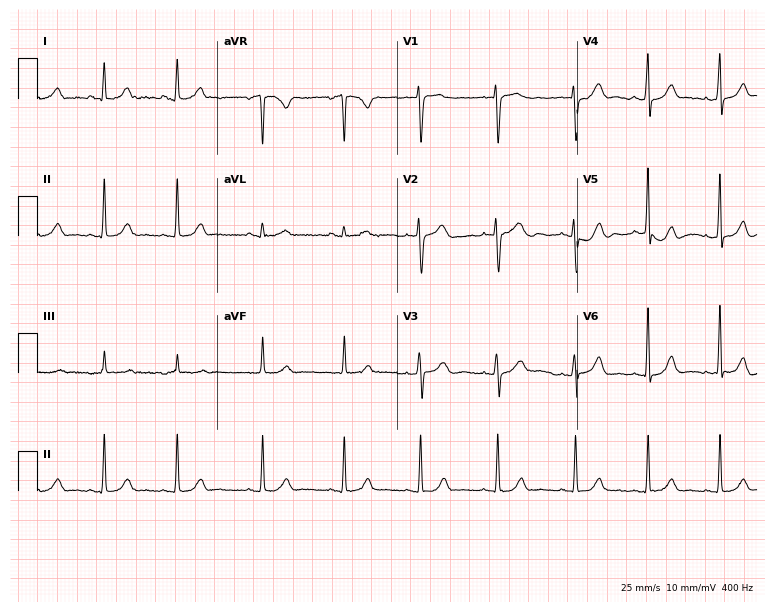
Standard 12-lead ECG recorded from a female patient, 33 years old. Read as a normal ECG.